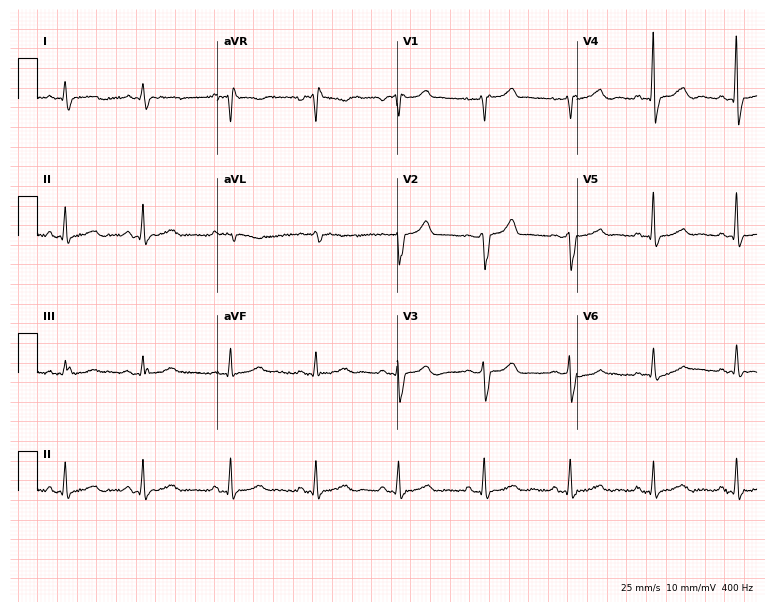
Resting 12-lead electrocardiogram. Patient: a female, 57 years old. None of these six findings is recorded: first-degree AV block, right bundle branch block, left bundle branch block, sinus bradycardia, atrial fibrillation, sinus tachycardia. Only these six findings were labelled.